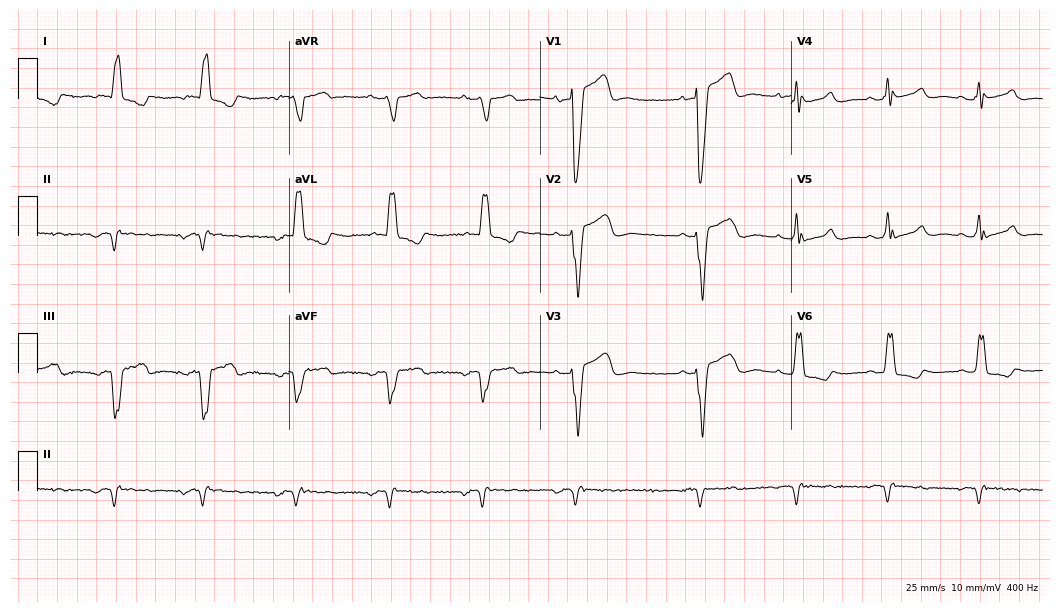
ECG (10.2-second recording at 400 Hz) — a 78-year-old woman. Screened for six findings — first-degree AV block, right bundle branch block, left bundle branch block, sinus bradycardia, atrial fibrillation, sinus tachycardia — none is recorded. Only these six findings were labelled.